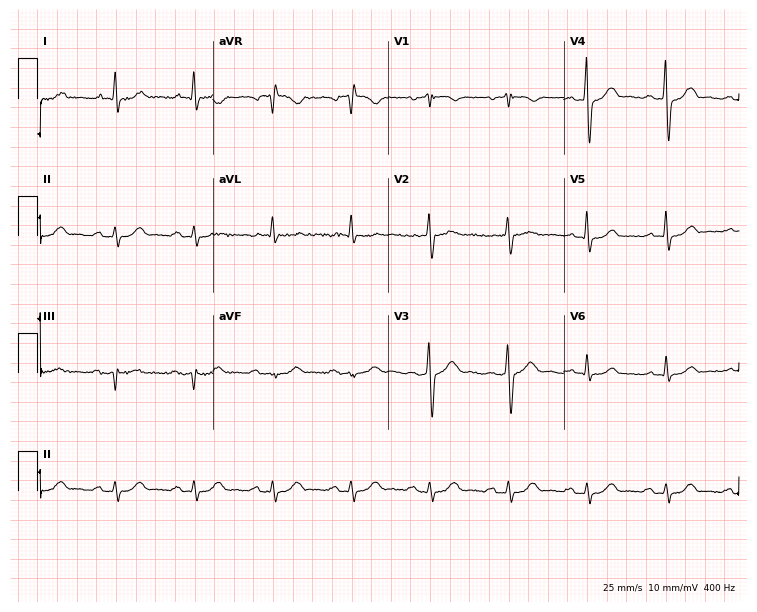
Standard 12-lead ECG recorded from a male, 79 years old. None of these six findings is recorded: first-degree AV block, right bundle branch block (RBBB), left bundle branch block (LBBB), sinus bradycardia, atrial fibrillation (AF), sinus tachycardia. Findings outside these six are not listed.